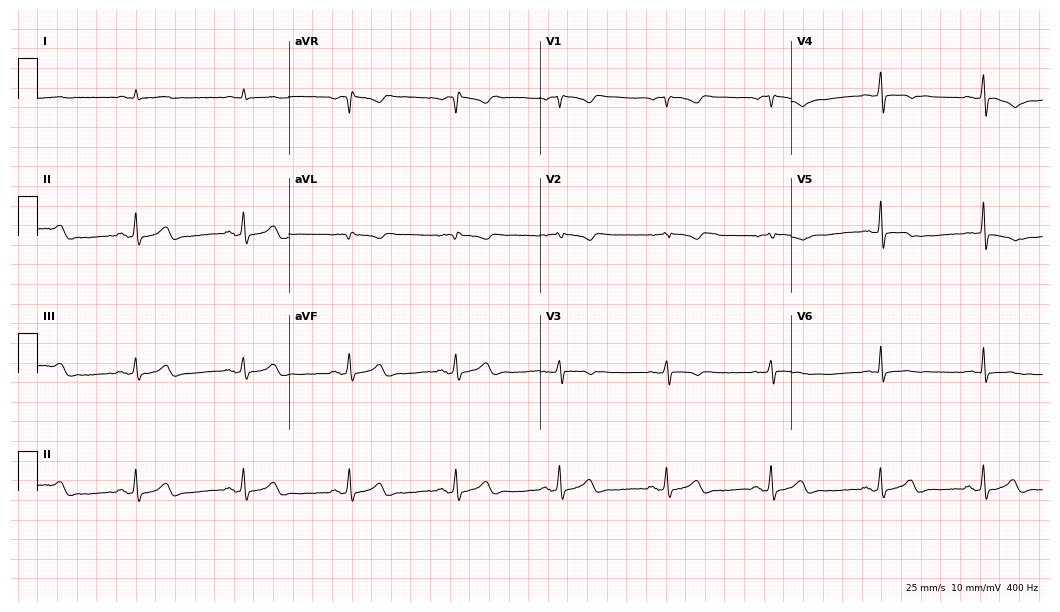
Resting 12-lead electrocardiogram (10.2-second recording at 400 Hz). Patient: a male, 61 years old. None of these six findings is recorded: first-degree AV block, right bundle branch block, left bundle branch block, sinus bradycardia, atrial fibrillation, sinus tachycardia. Only these six findings were labelled.